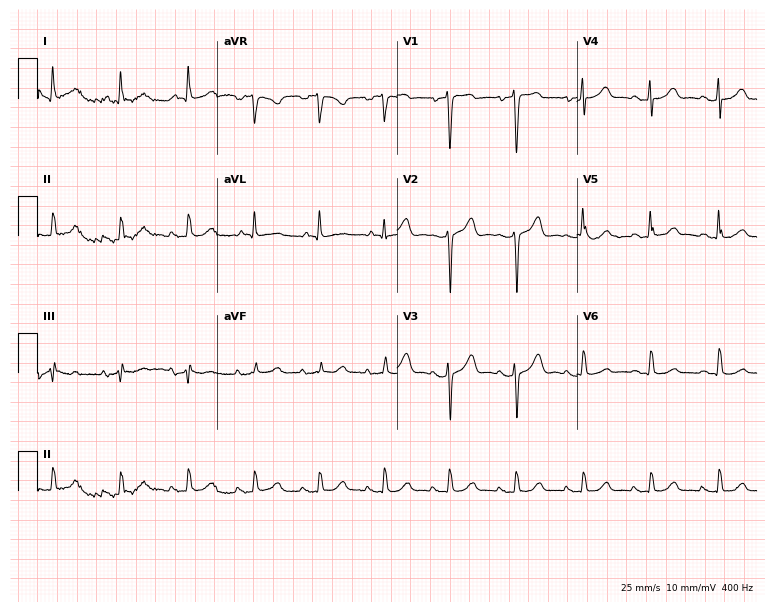
12-lead ECG from a man, 66 years old. Recorded interpretation: within normal limits.